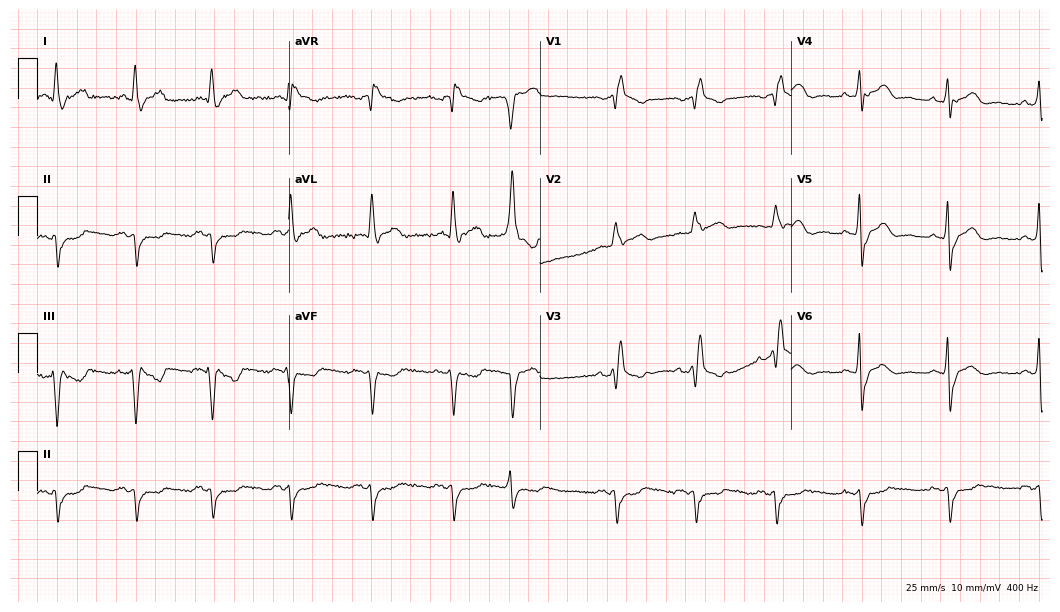
Resting 12-lead electrocardiogram. Patient: a male, 47 years old. The tracing shows right bundle branch block.